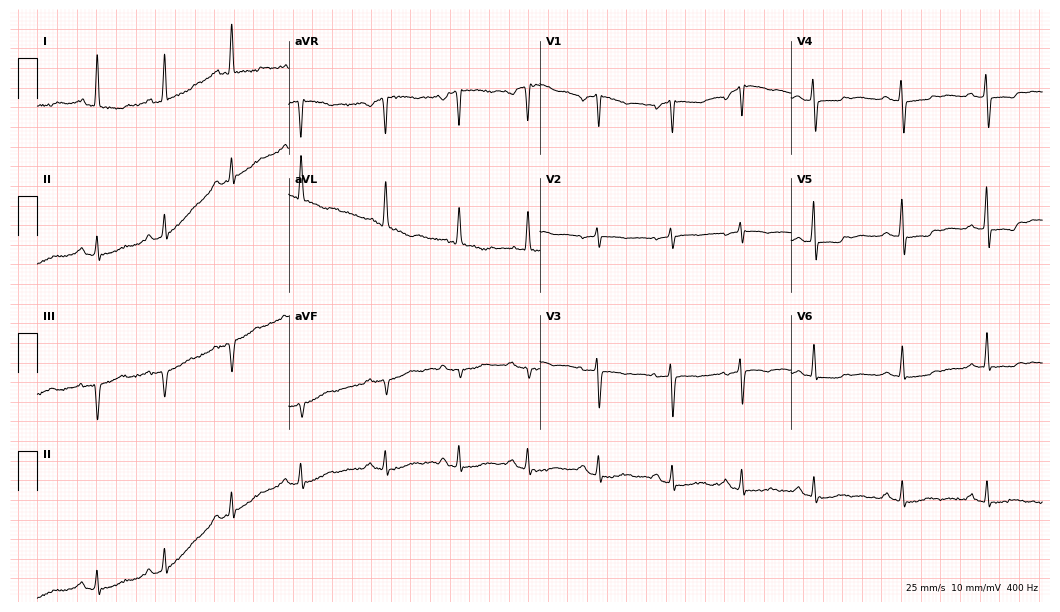
Electrocardiogram, a 60-year-old female patient. Of the six screened findings (first-degree AV block, right bundle branch block (RBBB), left bundle branch block (LBBB), sinus bradycardia, atrial fibrillation (AF), sinus tachycardia), none is recorded.